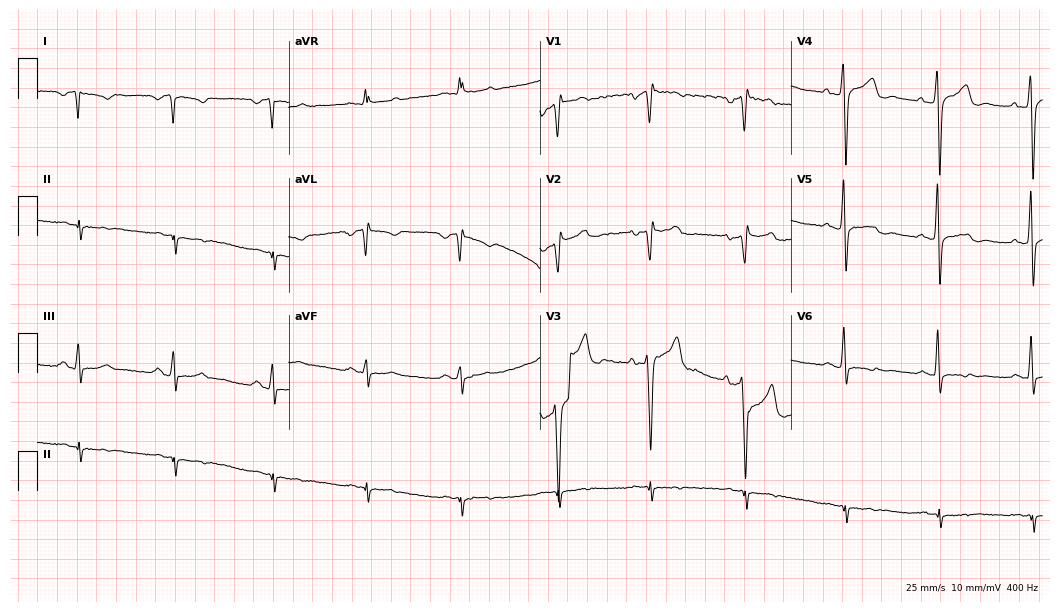
12-lead ECG from a man, 43 years old. No first-degree AV block, right bundle branch block (RBBB), left bundle branch block (LBBB), sinus bradycardia, atrial fibrillation (AF) or sinus tachycardia recorded for this tracing.